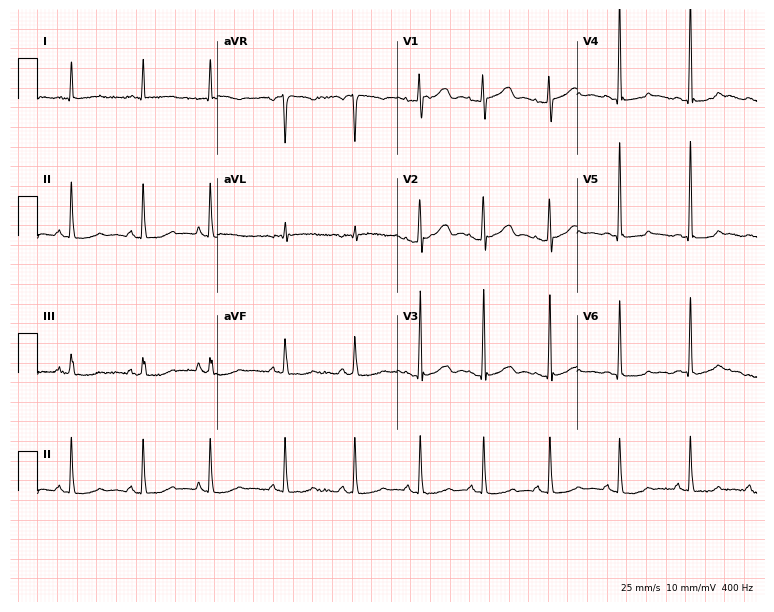
12-lead ECG from a 79-year-old female. No first-degree AV block, right bundle branch block, left bundle branch block, sinus bradycardia, atrial fibrillation or sinus tachycardia recorded for this tracing.